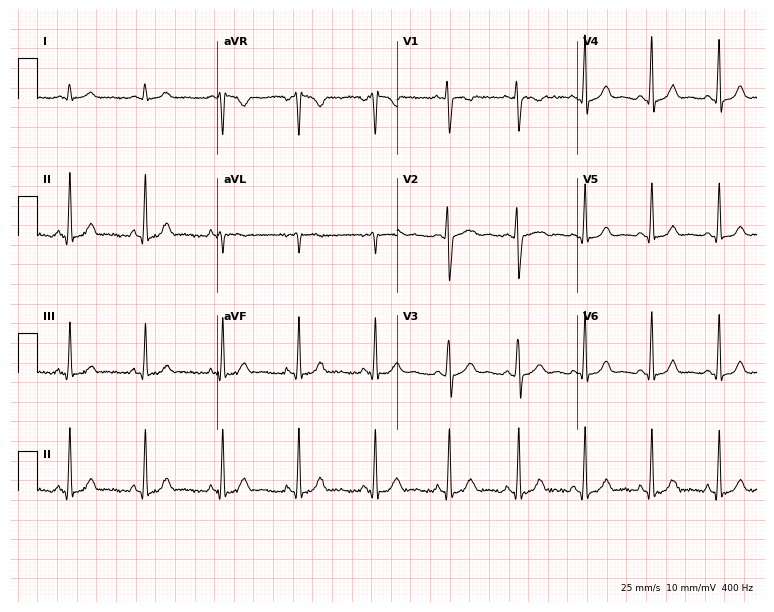
ECG — a 20-year-old female patient. Labelled as a normal ECG.